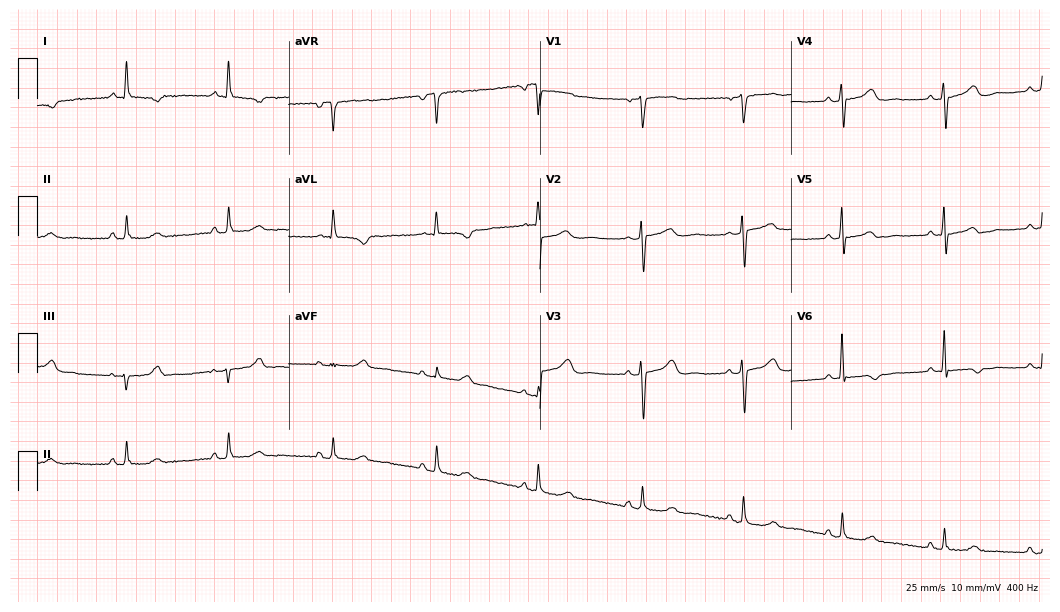
Resting 12-lead electrocardiogram (10.2-second recording at 400 Hz). Patient: a 59-year-old woman. None of these six findings is recorded: first-degree AV block, right bundle branch block, left bundle branch block, sinus bradycardia, atrial fibrillation, sinus tachycardia.